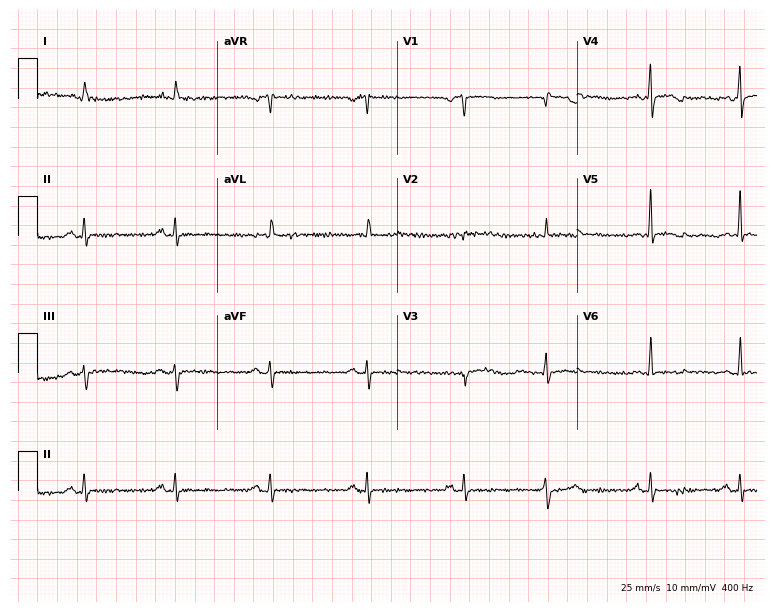
Electrocardiogram (7.3-second recording at 400 Hz), a 63-year-old male. Of the six screened findings (first-degree AV block, right bundle branch block (RBBB), left bundle branch block (LBBB), sinus bradycardia, atrial fibrillation (AF), sinus tachycardia), none is recorded.